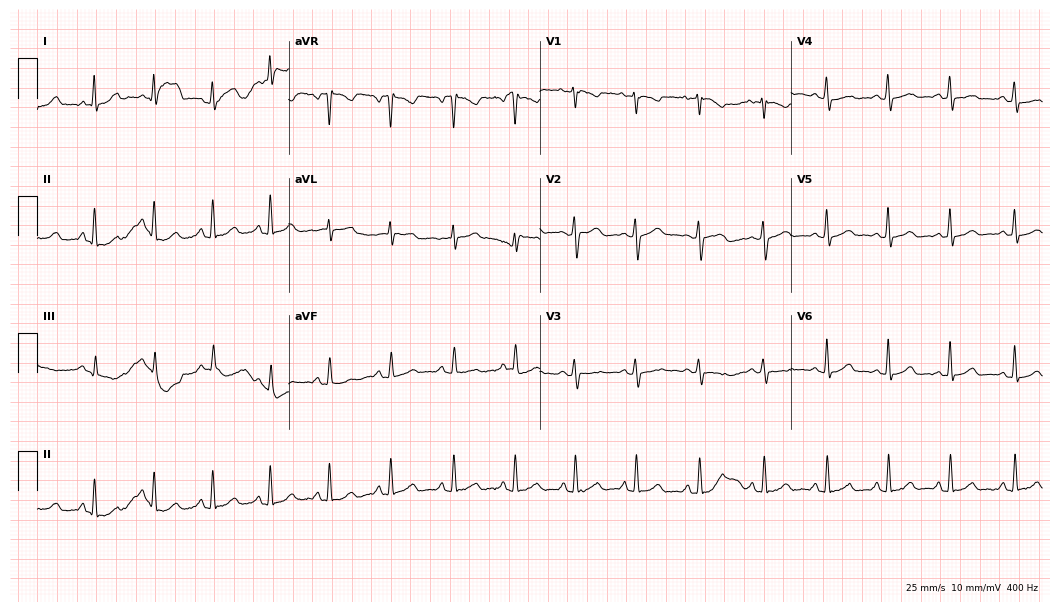
Electrocardiogram, a 44-year-old female. Overall reading on record: normal ECG.